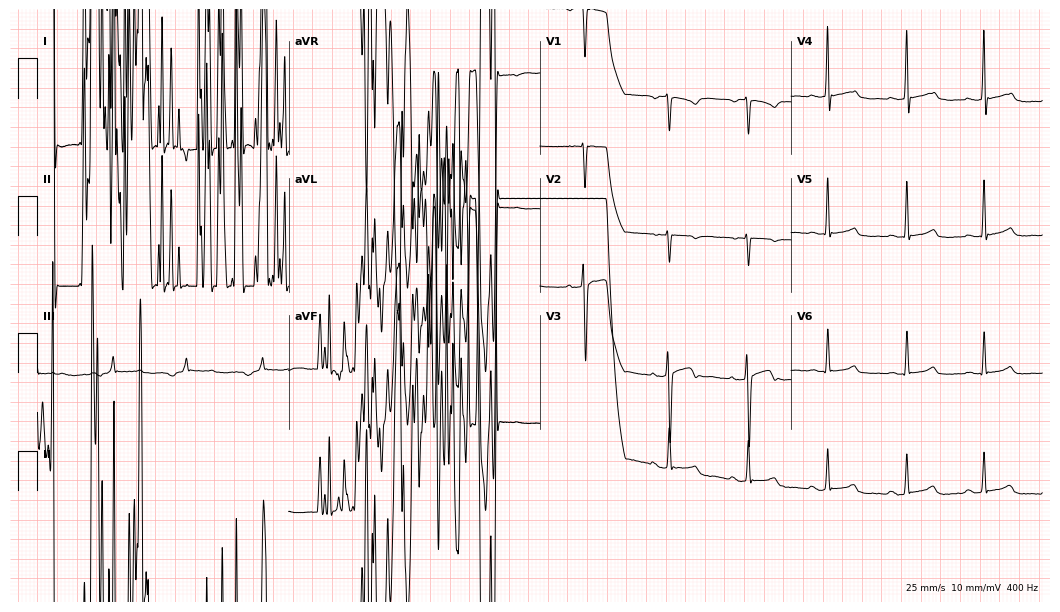
12-lead ECG from a 20-year-old woman. No first-degree AV block, right bundle branch block, left bundle branch block, sinus bradycardia, atrial fibrillation or sinus tachycardia recorded for this tracing.